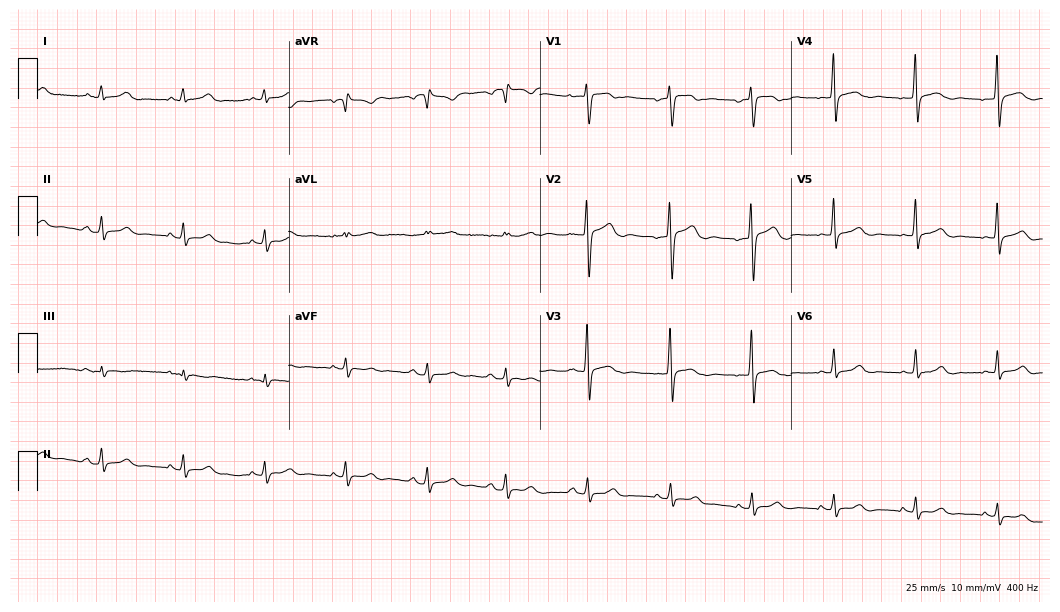
Standard 12-lead ECG recorded from a female patient, 32 years old. Read as a normal ECG.